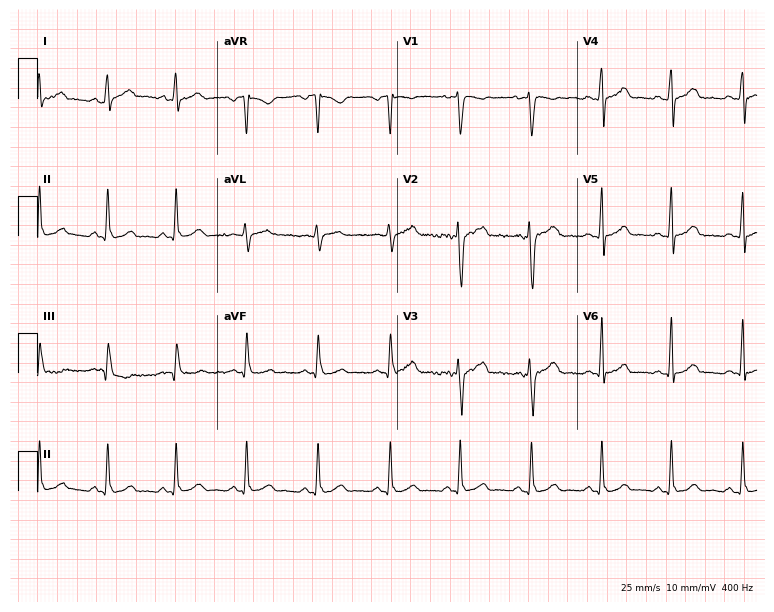
Standard 12-lead ECG recorded from a female, 25 years old. Read as a normal ECG.